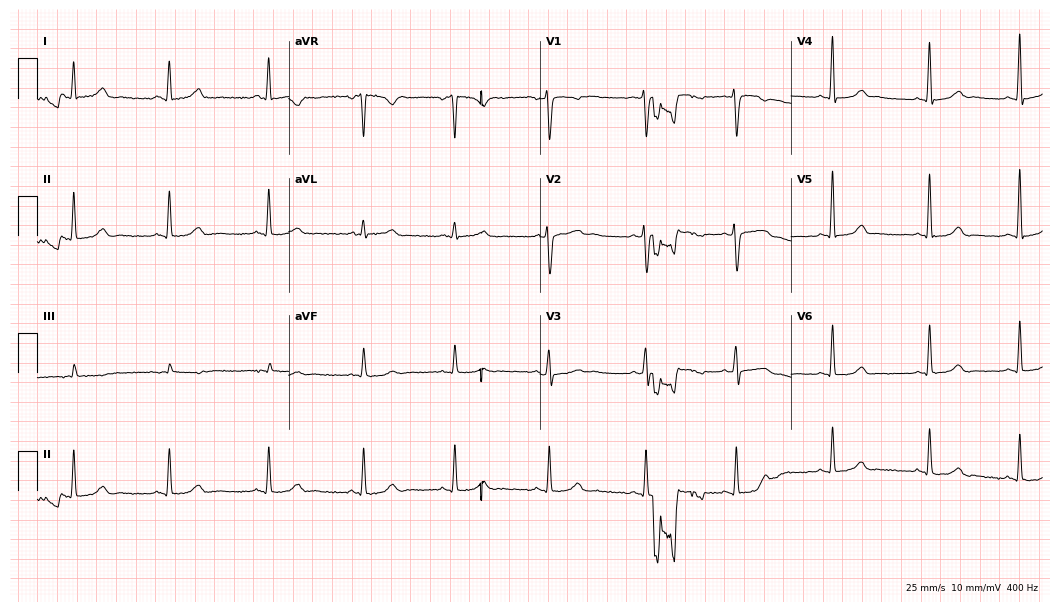
ECG (10.2-second recording at 400 Hz) — a female, 35 years old. Screened for six findings — first-degree AV block, right bundle branch block, left bundle branch block, sinus bradycardia, atrial fibrillation, sinus tachycardia — none is recorded. Only these six findings were labelled.